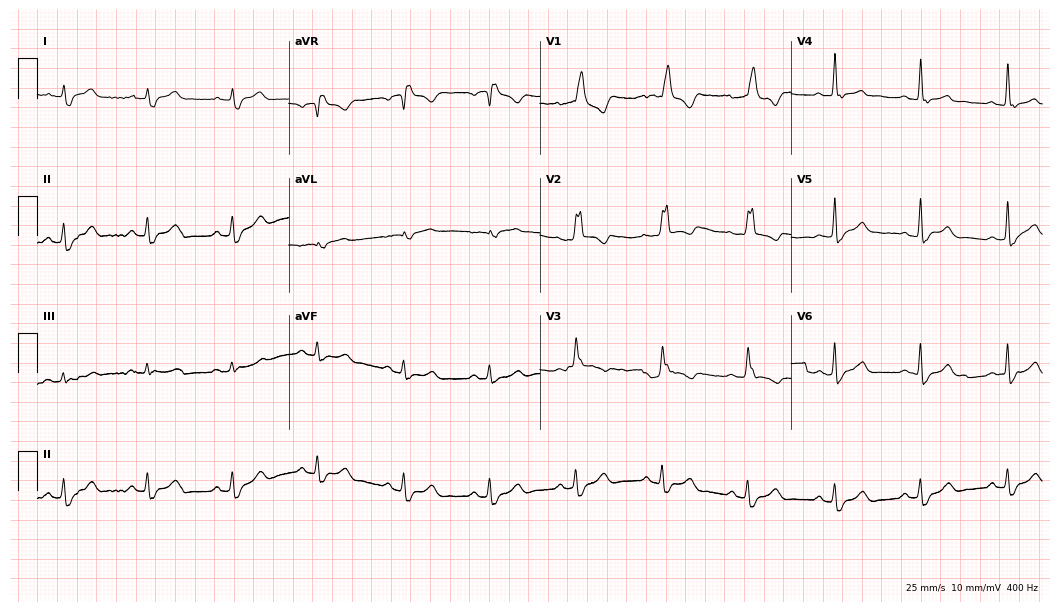
Resting 12-lead electrocardiogram (10.2-second recording at 400 Hz). Patient: a male, 42 years old. None of these six findings is recorded: first-degree AV block, right bundle branch block, left bundle branch block, sinus bradycardia, atrial fibrillation, sinus tachycardia.